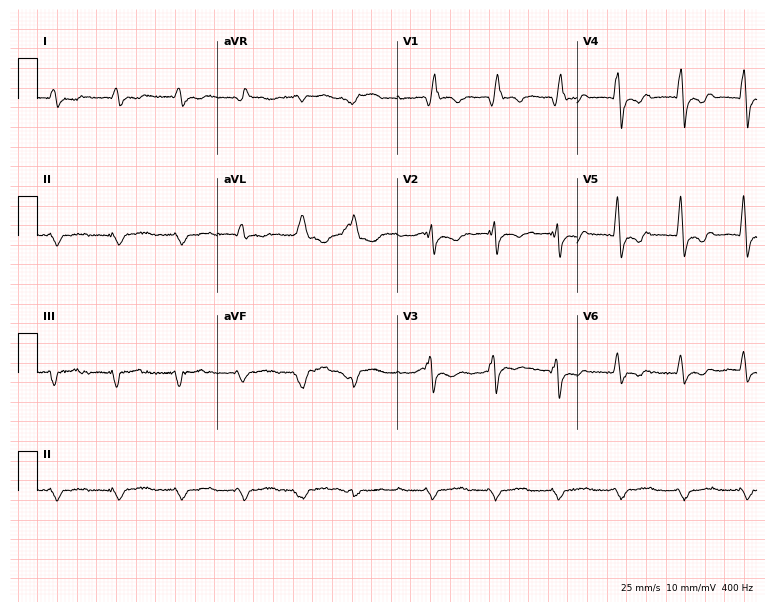
Electrocardiogram (7.3-second recording at 400 Hz), a woman, 84 years old. Of the six screened findings (first-degree AV block, right bundle branch block (RBBB), left bundle branch block (LBBB), sinus bradycardia, atrial fibrillation (AF), sinus tachycardia), none is recorded.